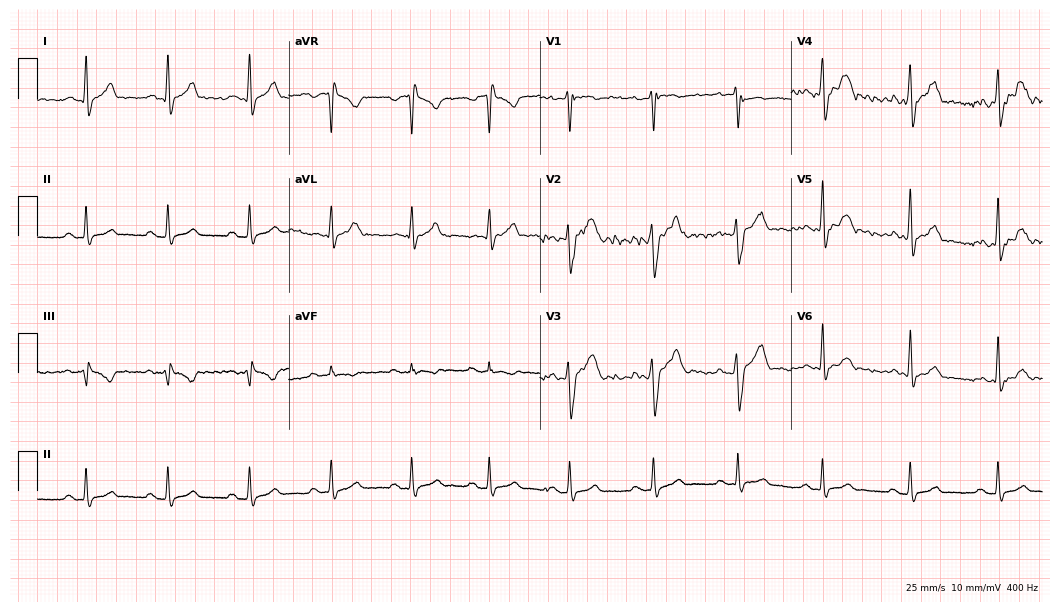
12-lead ECG from a male, 20 years old (10.2-second recording at 400 Hz). Recorded interpretation: within normal limits.